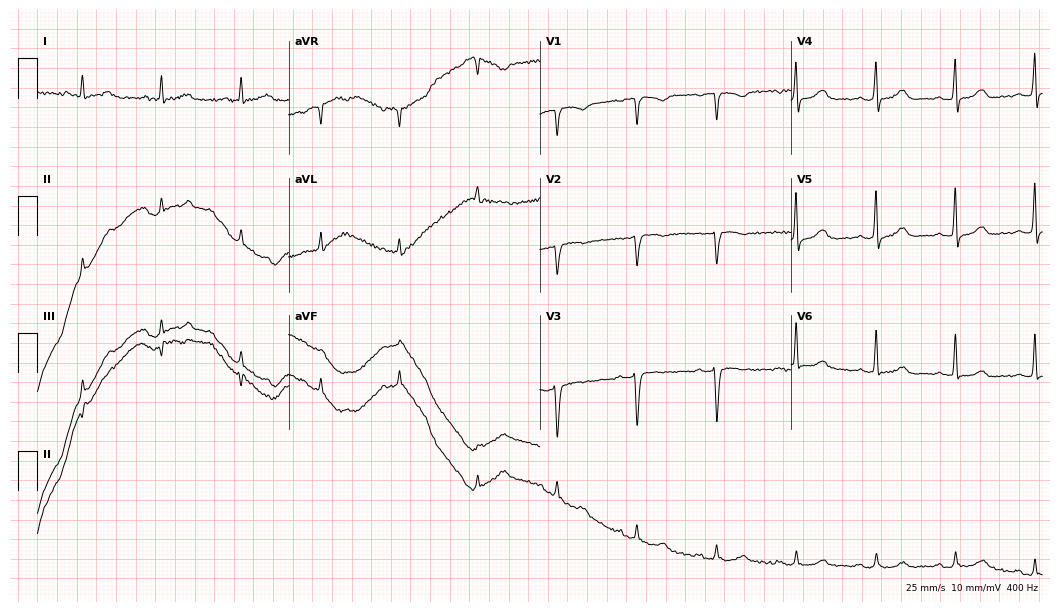
Electrocardiogram (10.2-second recording at 400 Hz), a woman, 61 years old. Of the six screened findings (first-degree AV block, right bundle branch block, left bundle branch block, sinus bradycardia, atrial fibrillation, sinus tachycardia), none is recorded.